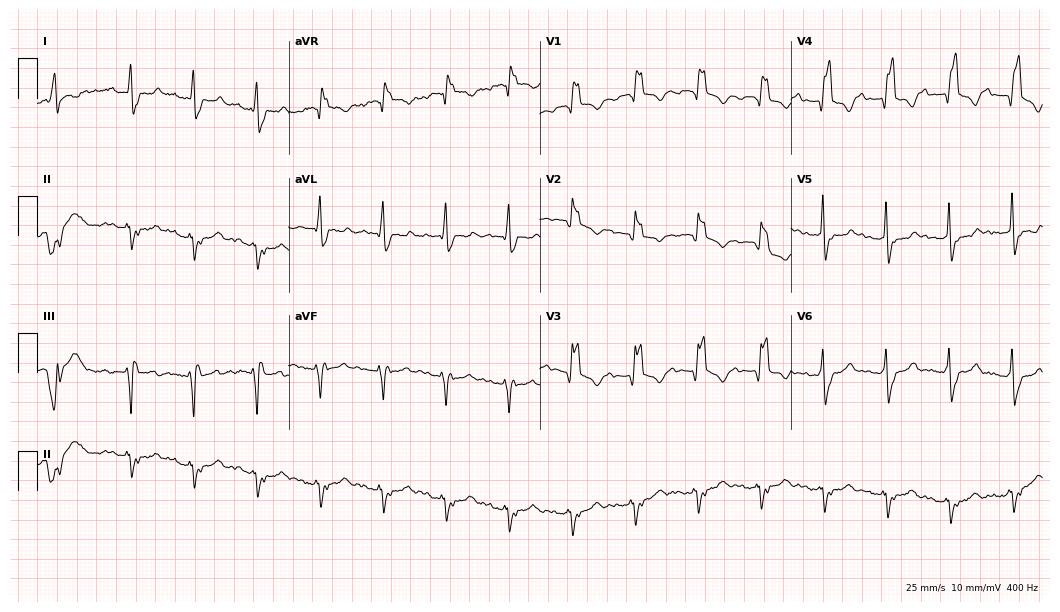
12-lead ECG from a 75-year-old male. Shows first-degree AV block, right bundle branch block.